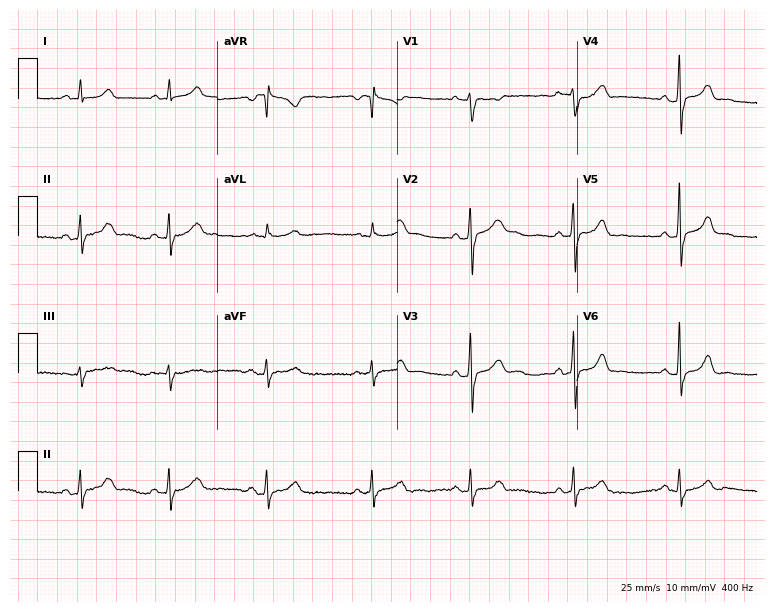
Standard 12-lead ECG recorded from a female, 35 years old. Read as a normal ECG.